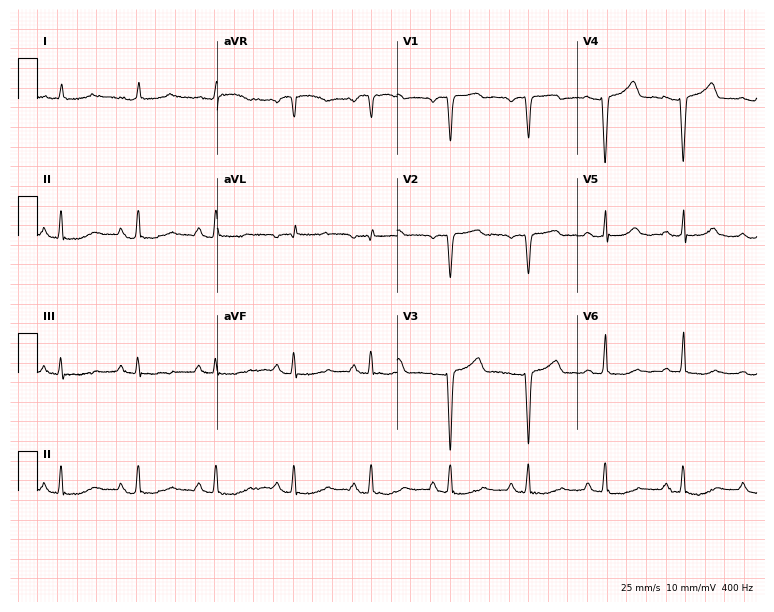
Electrocardiogram, a woman, 79 years old. Of the six screened findings (first-degree AV block, right bundle branch block (RBBB), left bundle branch block (LBBB), sinus bradycardia, atrial fibrillation (AF), sinus tachycardia), none is recorded. Only these six findings were labelled.